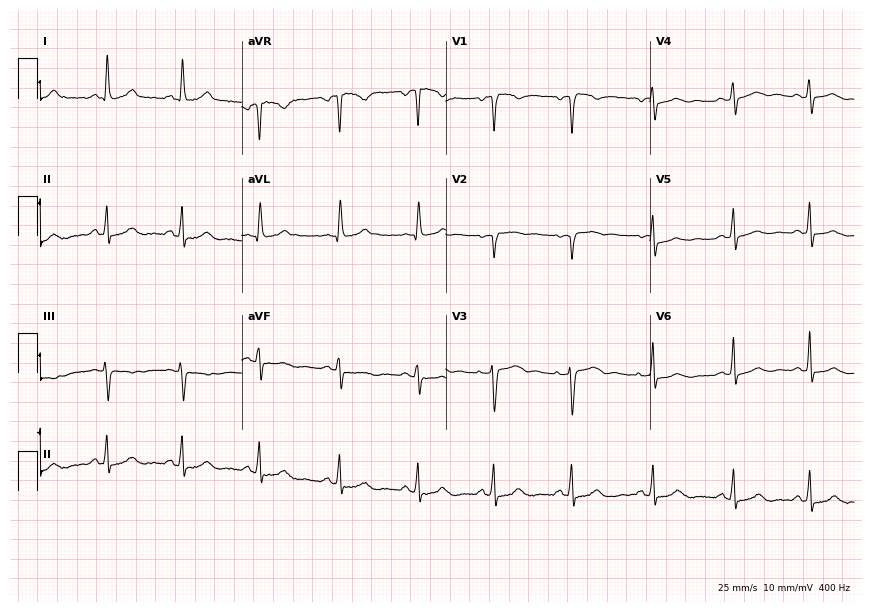
12-lead ECG from a 43-year-old female patient. Screened for six findings — first-degree AV block, right bundle branch block, left bundle branch block, sinus bradycardia, atrial fibrillation, sinus tachycardia — none is recorded. Other findings, if any, are not listed.